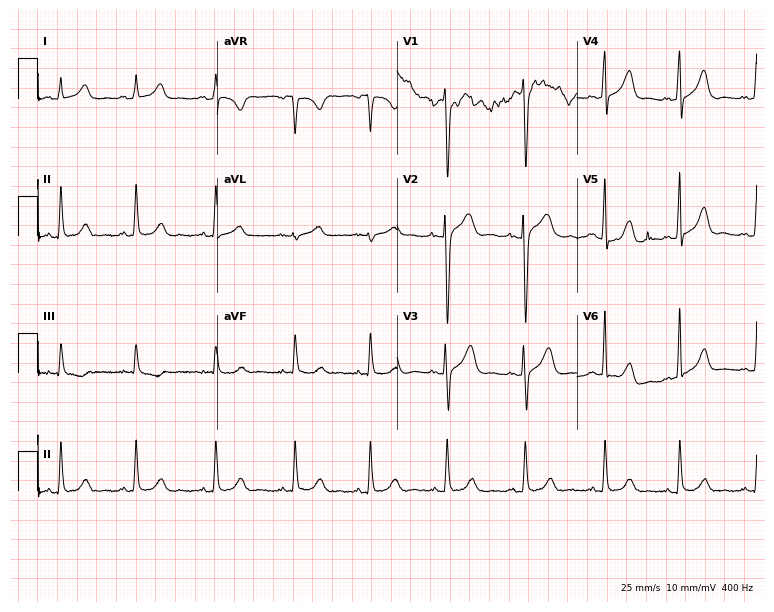
12-lead ECG from a female patient, 29 years old (7.3-second recording at 400 Hz). Recorded interpretation: within normal limits.